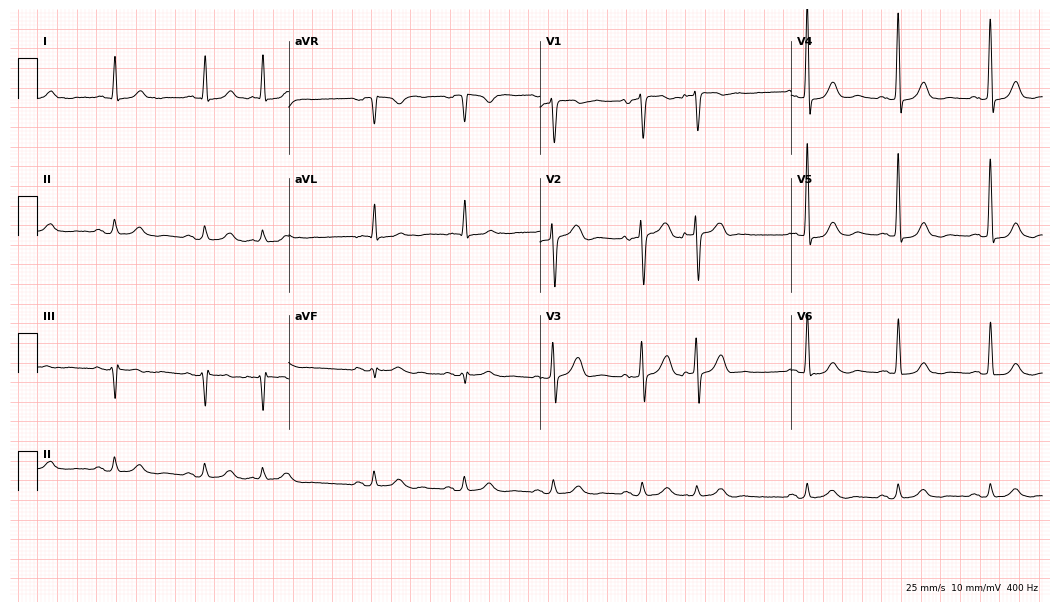
12-lead ECG from a man, 80 years old (10.2-second recording at 400 Hz). Recorded interpretation: within normal limits.